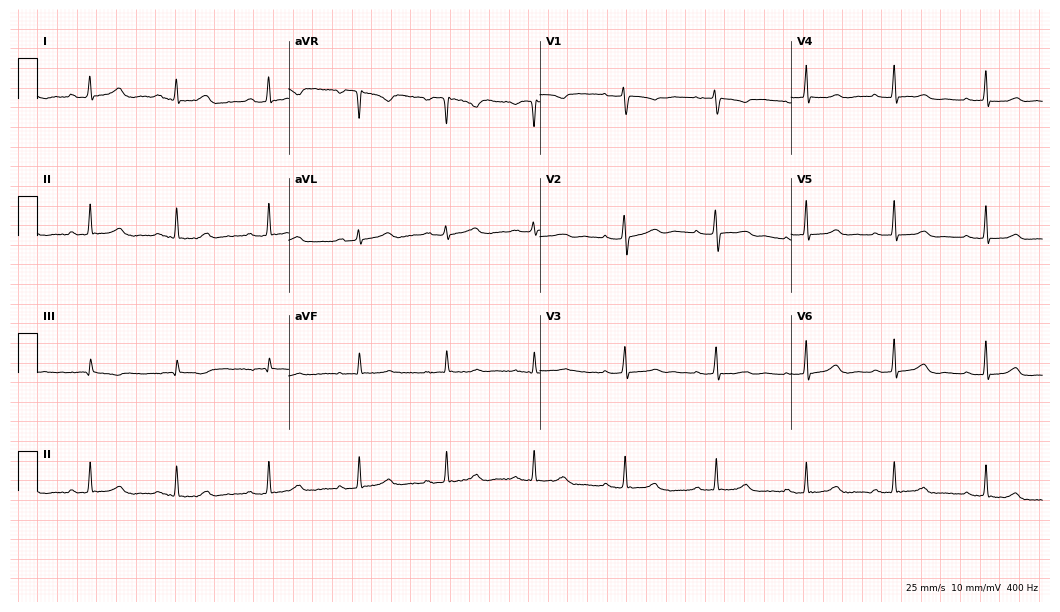
Resting 12-lead electrocardiogram (10.2-second recording at 400 Hz). Patient: a 43-year-old woman. Read as a normal ECG.